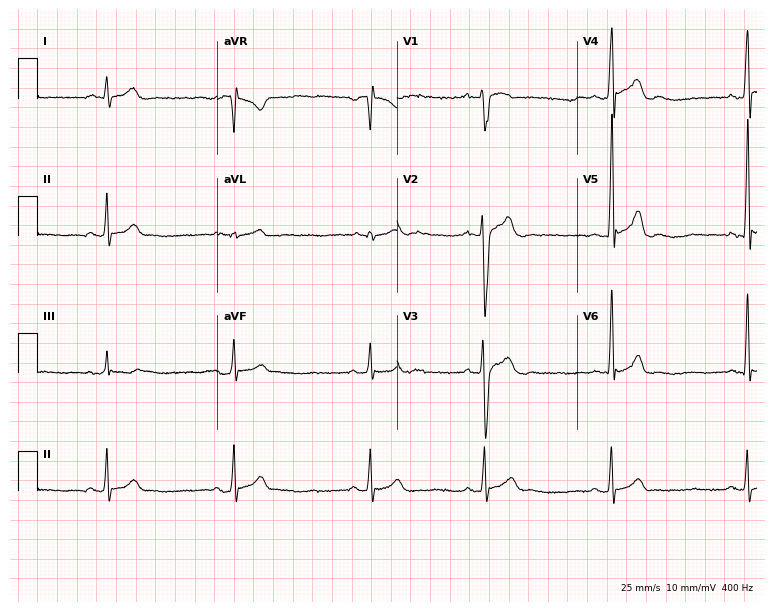
Resting 12-lead electrocardiogram (7.3-second recording at 400 Hz). Patient: a 29-year-old male. None of these six findings is recorded: first-degree AV block, right bundle branch block, left bundle branch block, sinus bradycardia, atrial fibrillation, sinus tachycardia.